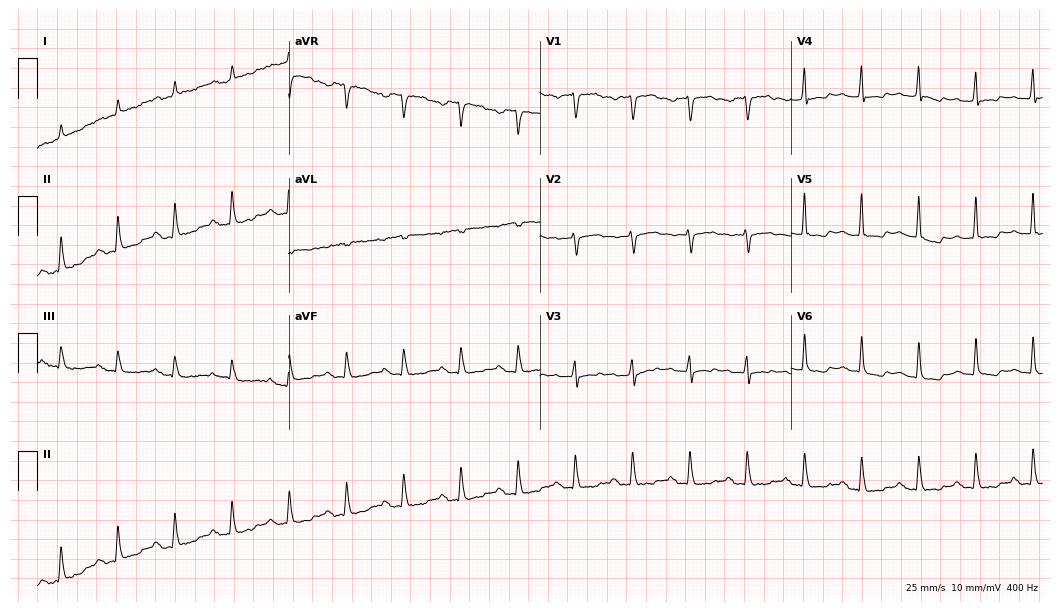
Electrocardiogram, a 78-year-old man. Of the six screened findings (first-degree AV block, right bundle branch block (RBBB), left bundle branch block (LBBB), sinus bradycardia, atrial fibrillation (AF), sinus tachycardia), none is recorded.